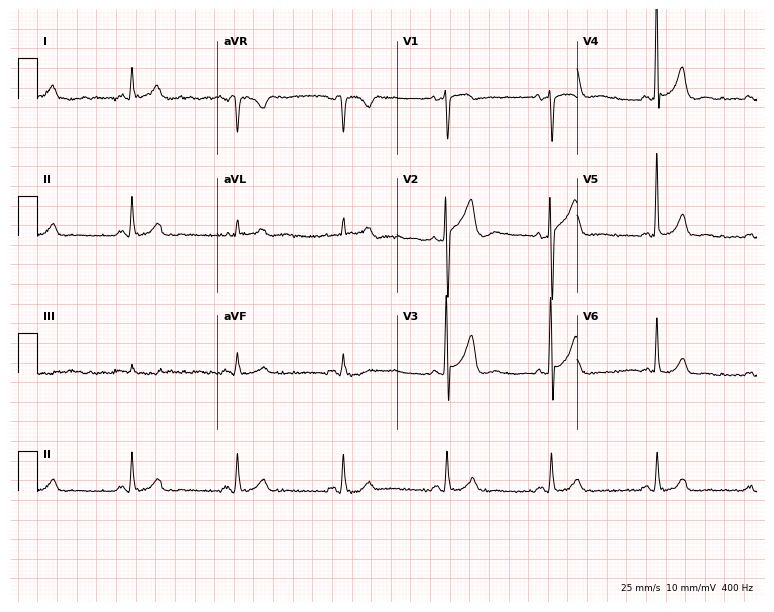
Standard 12-lead ECG recorded from a 62-year-old male patient (7.3-second recording at 400 Hz). Read as a normal ECG.